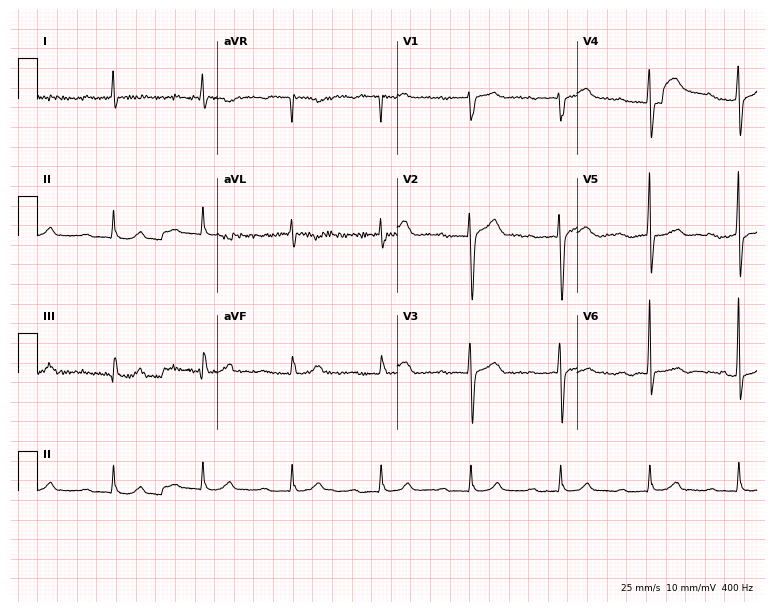
12-lead ECG (7.3-second recording at 400 Hz) from a male patient, 65 years old. Findings include first-degree AV block.